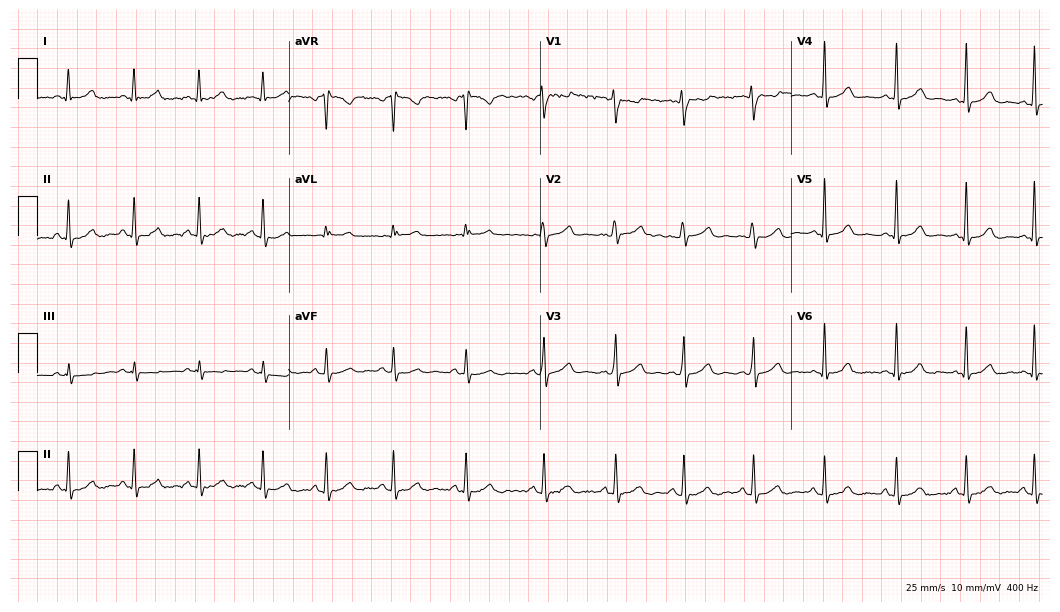
Standard 12-lead ECG recorded from a 38-year-old female. Read as a normal ECG.